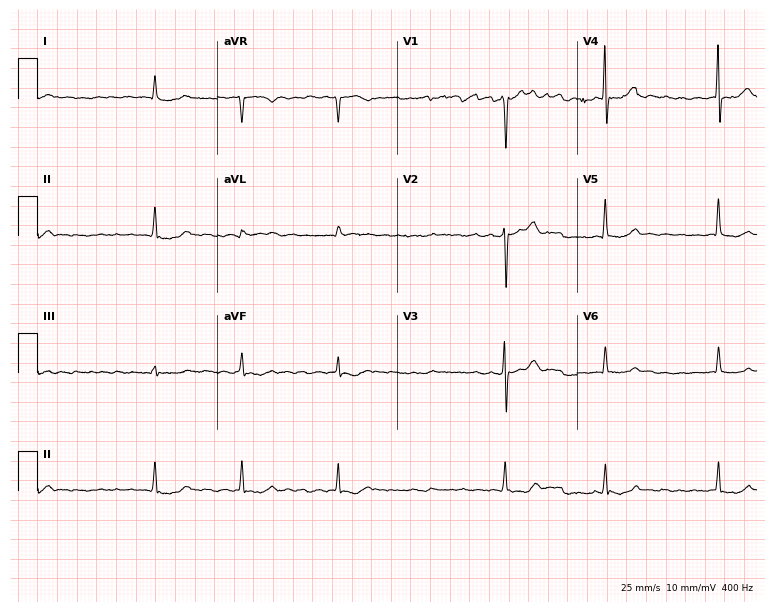
Electrocardiogram (7.3-second recording at 400 Hz), a male, 61 years old. Of the six screened findings (first-degree AV block, right bundle branch block, left bundle branch block, sinus bradycardia, atrial fibrillation, sinus tachycardia), none is recorded.